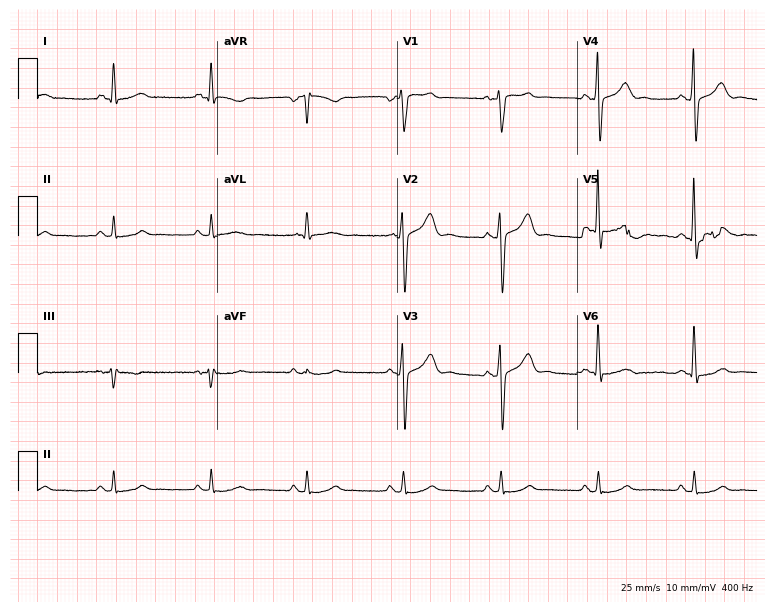
12-lead ECG from a man, 76 years old. Screened for six findings — first-degree AV block, right bundle branch block, left bundle branch block, sinus bradycardia, atrial fibrillation, sinus tachycardia — none is recorded.